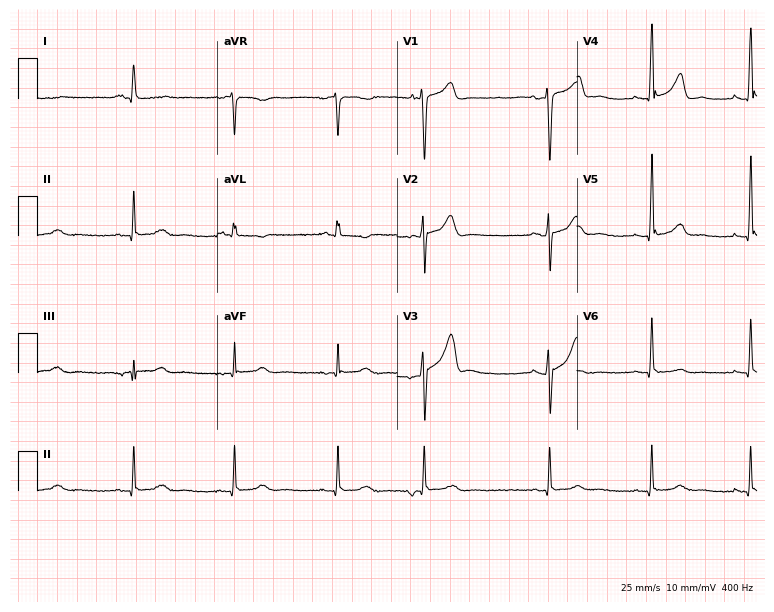
12-lead ECG from a male, 55 years old. Recorded interpretation: within normal limits.